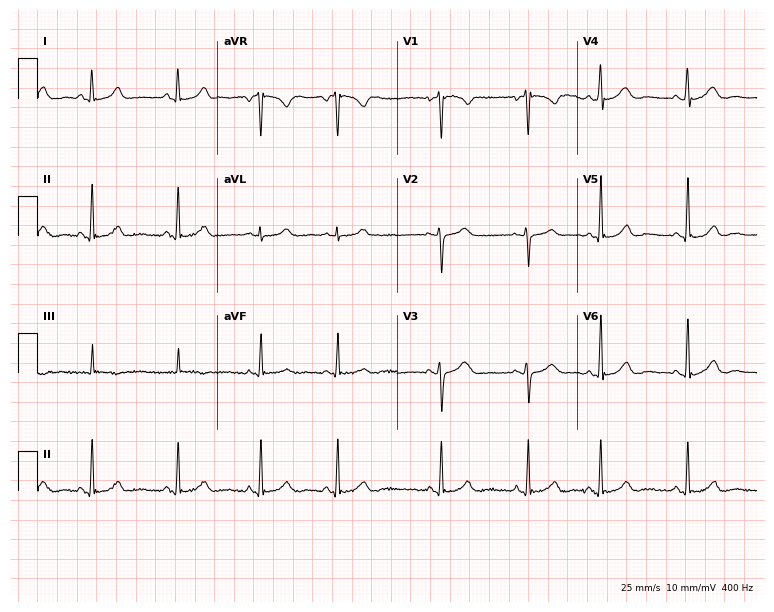
Electrocardiogram (7.3-second recording at 400 Hz), a 22-year-old woman. Overall reading on record: normal ECG.